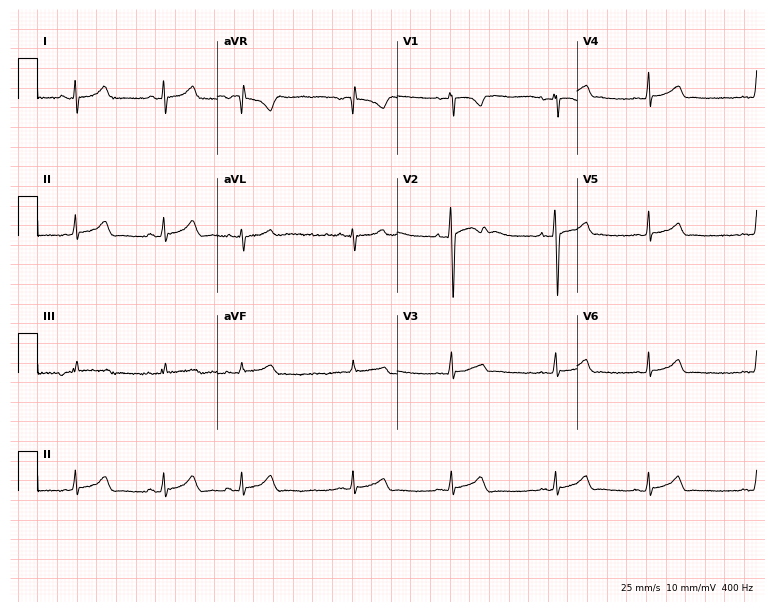
Electrocardiogram, a 17-year-old woman. Overall reading on record: normal ECG.